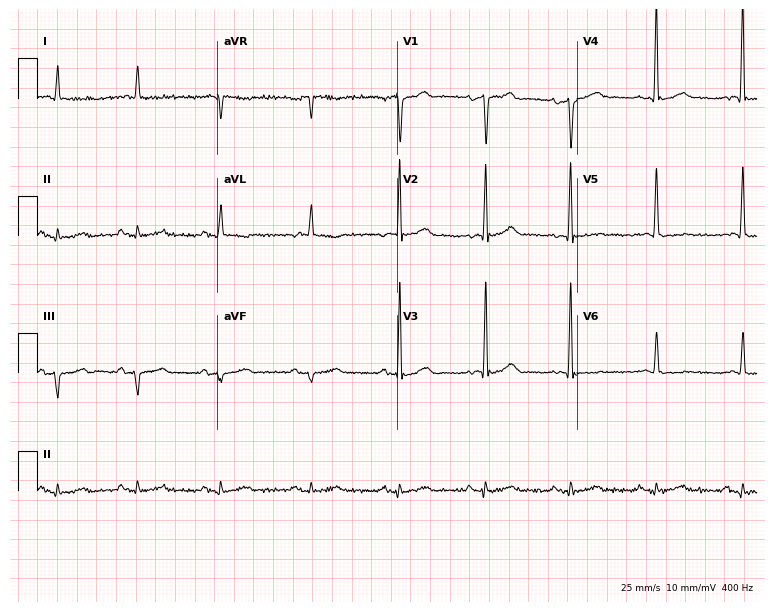
ECG (7.3-second recording at 400 Hz) — a male patient, 85 years old. Screened for six findings — first-degree AV block, right bundle branch block, left bundle branch block, sinus bradycardia, atrial fibrillation, sinus tachycardia — none is recorded. Only these six findings were labelled.